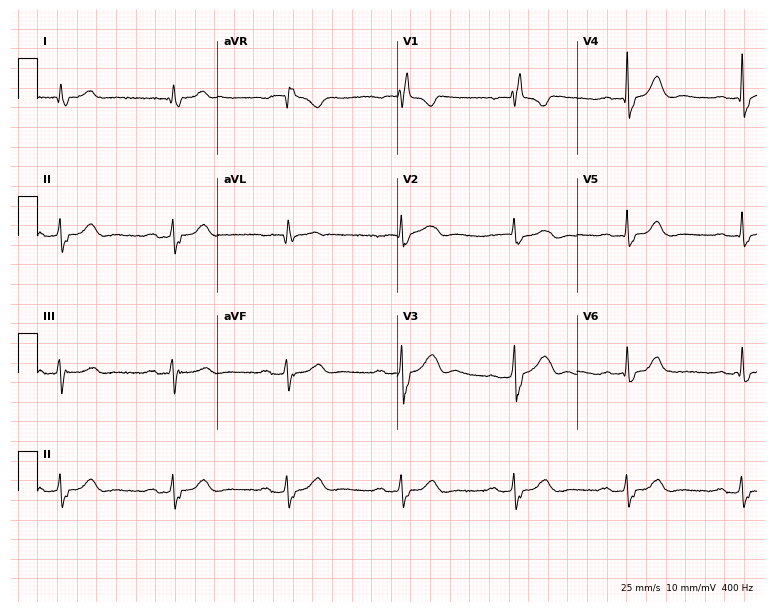
ECG (7.3-second recording at 400 Hz) — an 85-year-old man. Screened for six findings — first-degree AV block, right bundle branch block (RBBB), left bundle branch block (LBBB), sinus bradycardia, atrial fibrillation (AF), sinus tachycardia — none is recorded.